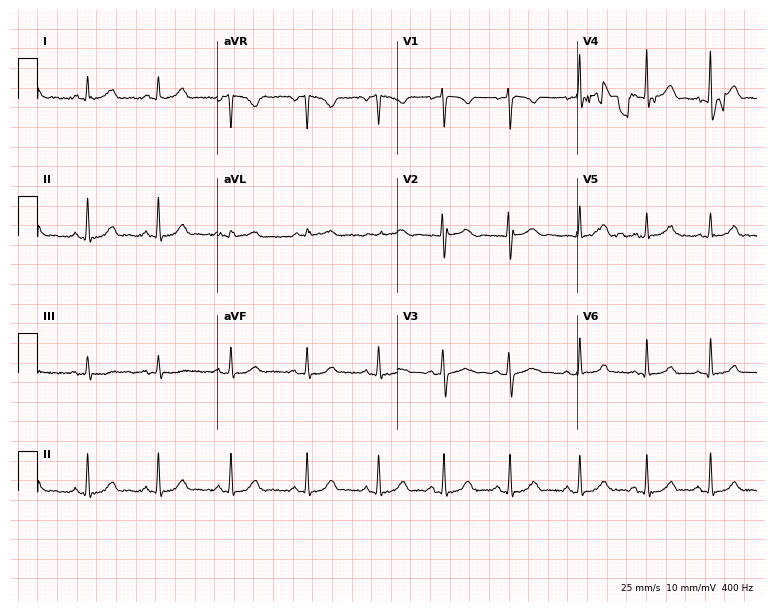
Electrocardiogram (7.3-second recording at 400 Hz), a 21-year-old female. Of the six screened findings (first-degree AV block, right bundle branch block, left bundle branch block, sinus bradycardia, atrial fibrillation, sinus tachycardia), none is recorded. Other findings, if any, are not listed.